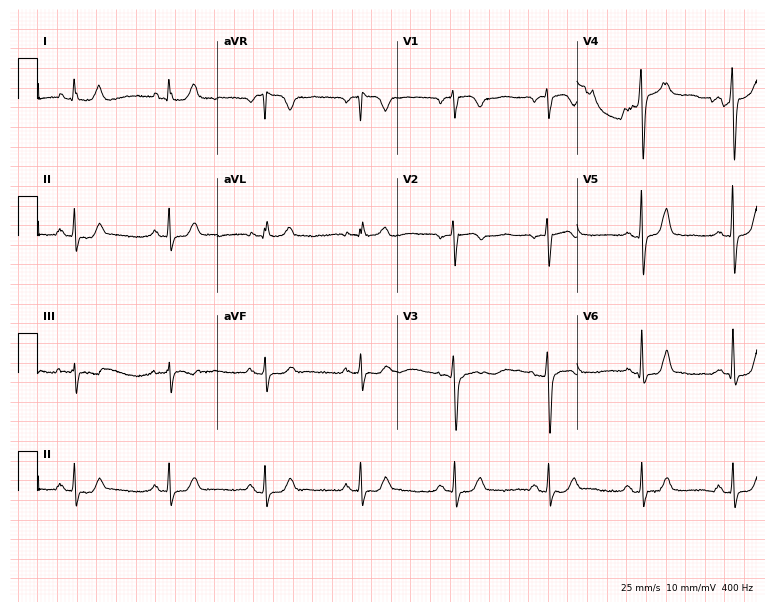
Standard 12-lead ECG recorded from a 64-year-old female. None of these six findings is recorded: first-degree AV block, right bundle branch block, left bundle branch block, sinus bradycardia, atrial fibrillation, sinus tachycardia. Findings outside these six are not listed.